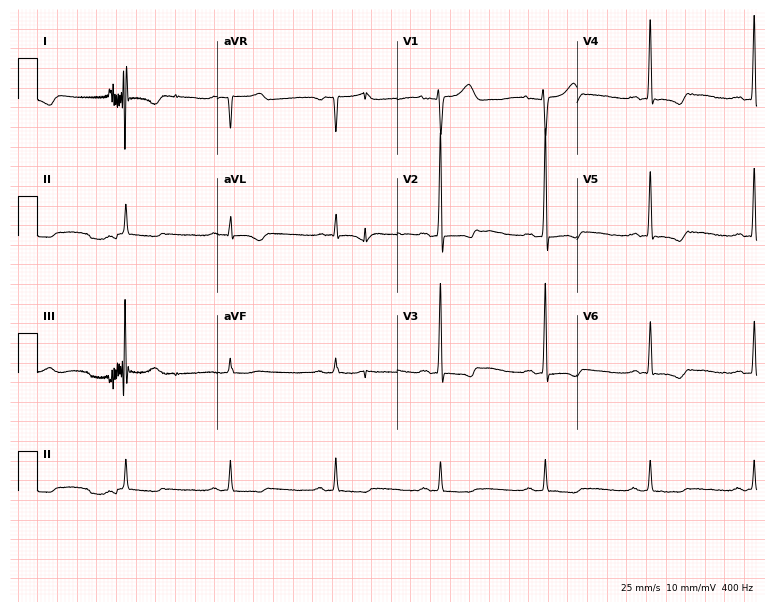
12-lead ECG (7.3-second recording at 400 Hz) from a 66-year-old man. Screened for six findings — first-degree AV block, right bundle branch block, left bundle branch block, sinus bradycardia, atrial fibrillation, sinus tachycardia — none is recorded. Other findings, if any, are not listed.